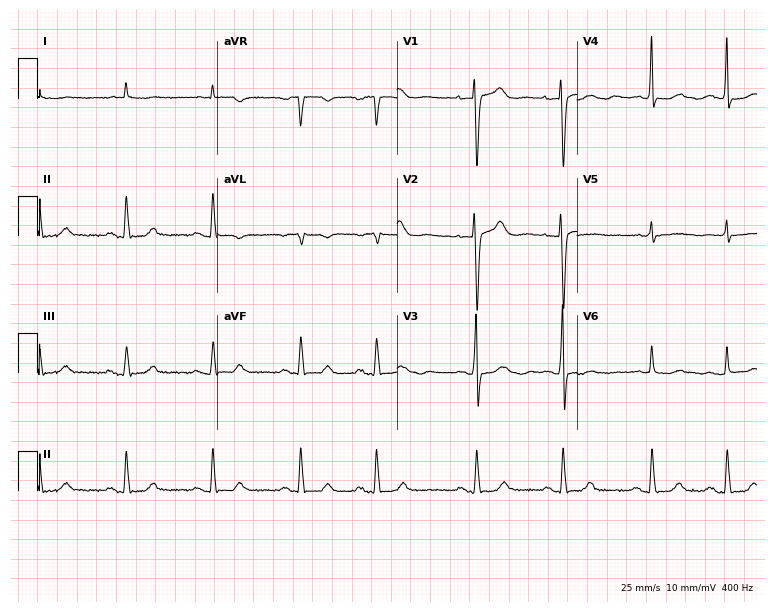
12-lead ECG from an 85-year-old woman (7.3-second recording at 400 Hz). No first-degree AV block, right bundle branch block (RBBB), left bundle branch block (LBBB), sinus bradycardia, atrial fibrillation (AF) or sinus tachycardia recorded for this tracing. Findings outside these six are not listed.